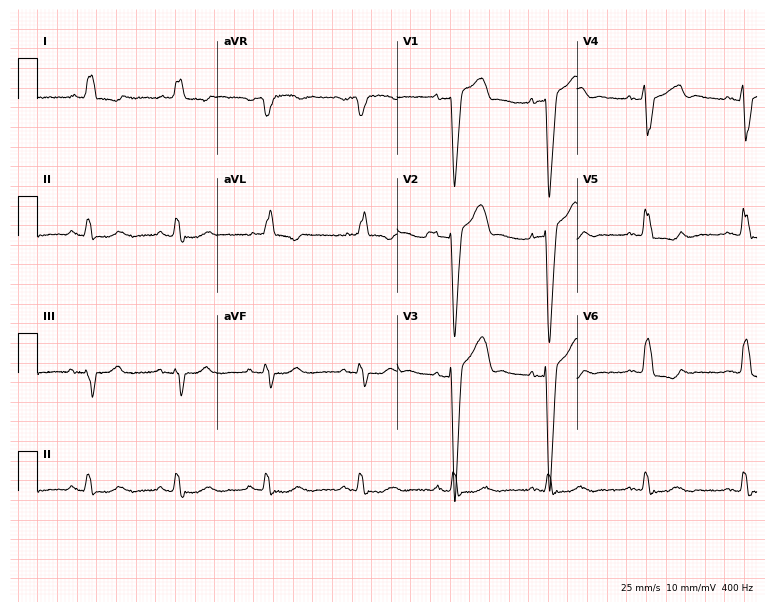
Electrocardiogram (7.3-second recording at 400 Hz), a male patient, 75 years old. Interpretation includes left bundle branch block.